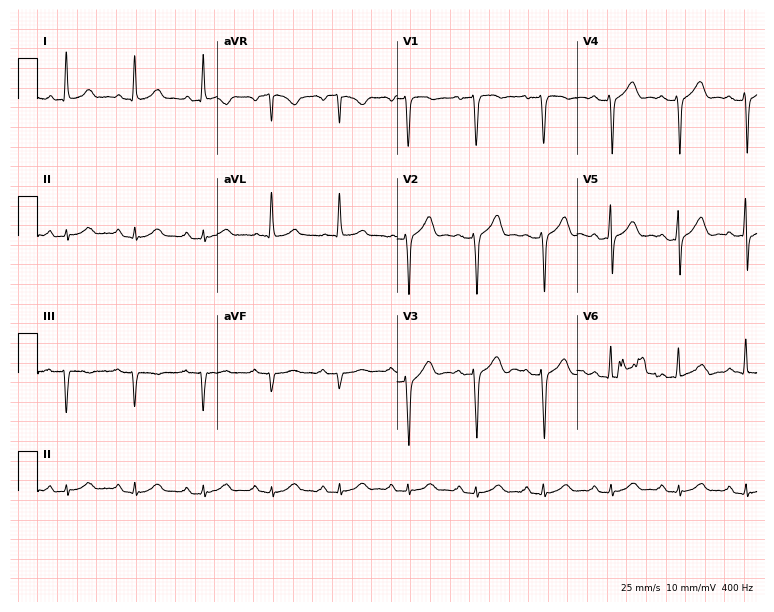
ECG — a male, 69 years old. Screened for six findings — first-degree AV block, right bundle branch block, left bundle branch block, sinus bradycardia, atrial fibrillation, sinus tachycardia — none is recorded. Findings outside these six are not listed.